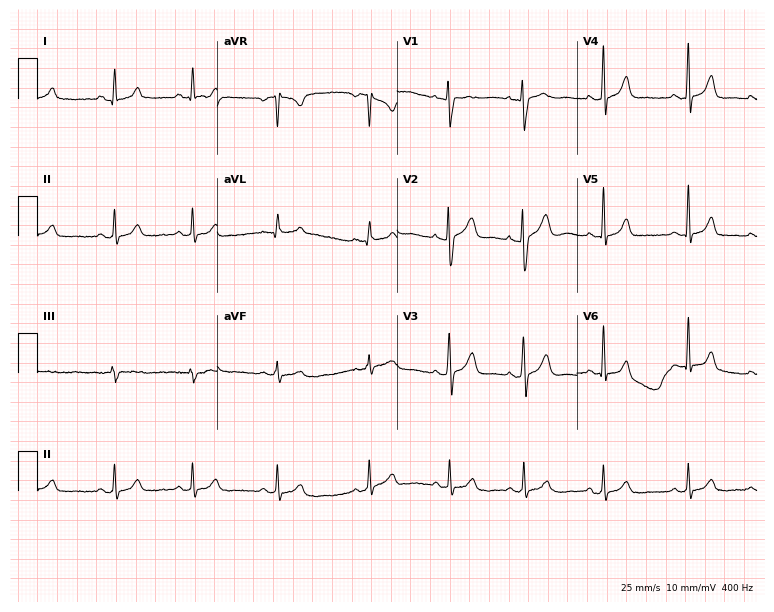
Electrocardiogram (7.3-second recording at 400 Hz), a 20-year-old woman. Of the six screened findings (first-degree AV block, right bundle branch block (RBBB), left bundle branch block (LBBB), sinus bradycardia, atrial fibrillation (AF), sinus tachycardia), none is recorded. Findings outside these six are not listed.